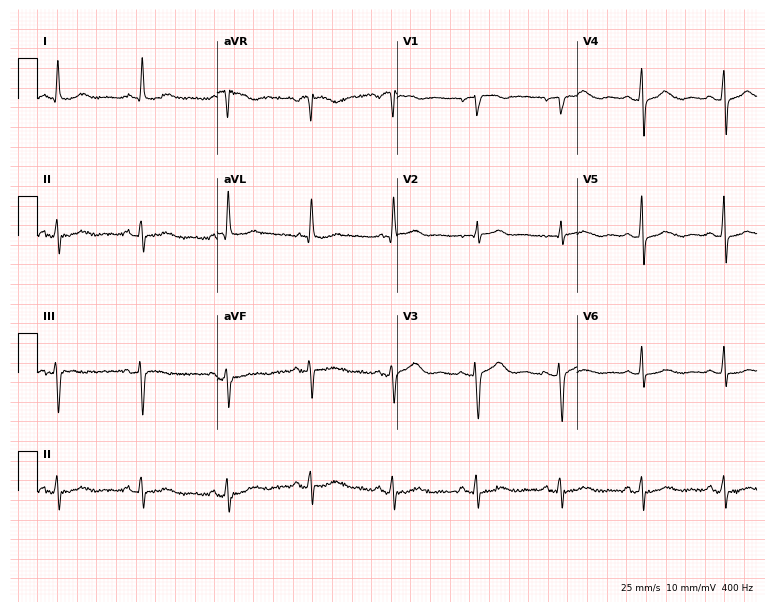
ECG — a 70-year-old woman. Screened for six findings — first-degree AV block, right bundle branch block (RBBB), left bundle branch block (LBBB), sinus bradycardia, atrial fibrillation (AF), sinus tachycardia — none is recorded.